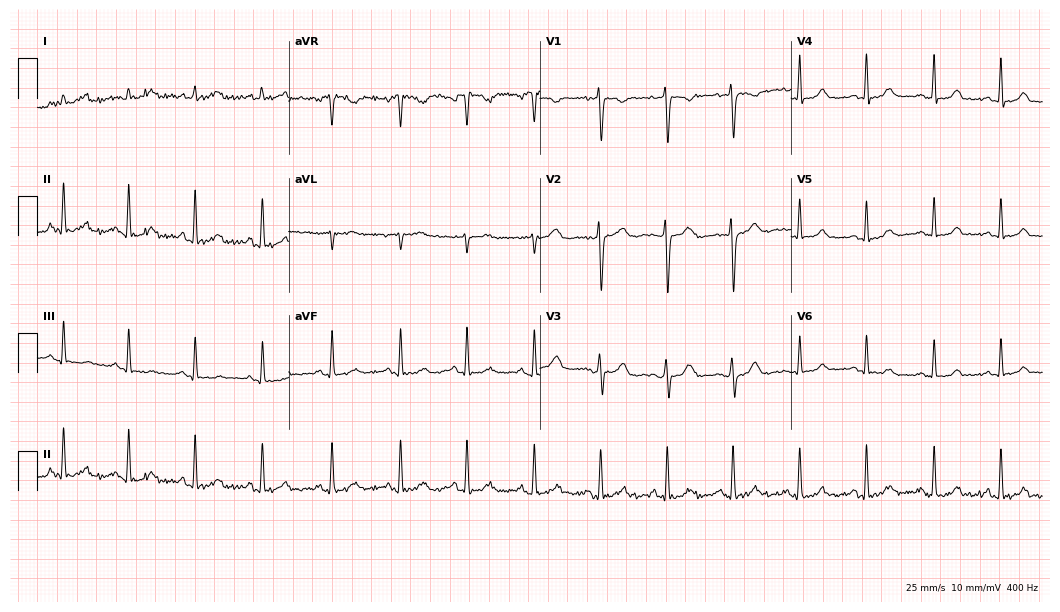
12-lead ECG from a female, 21 years old (10.2-second recording at 400 Hz). Recorded interpretation: within normal limits.